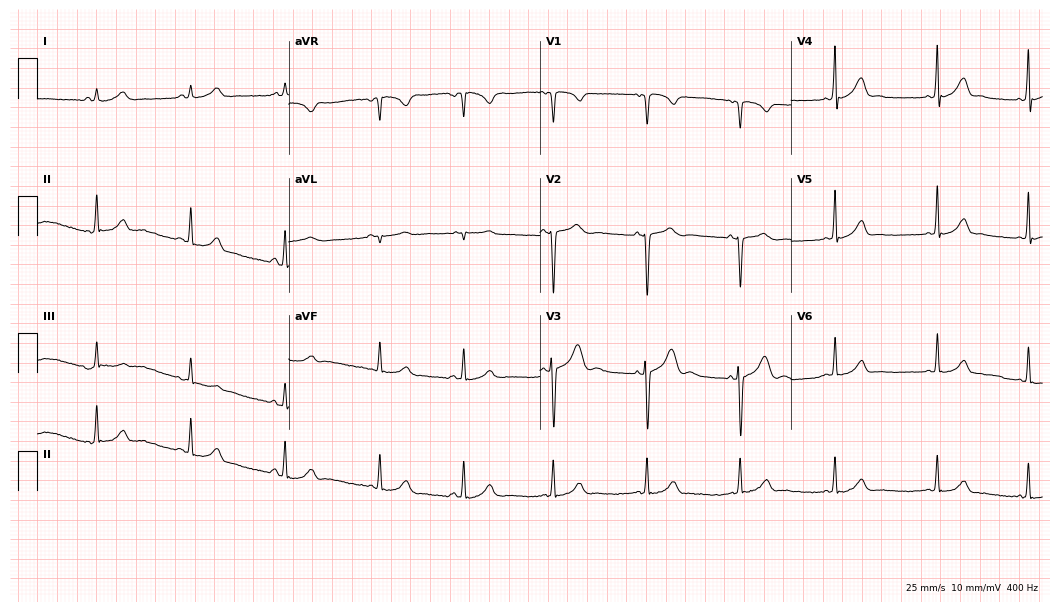
Electrocardiogram, a female patient, 17 years old. Overall reading on record: normal ECG.